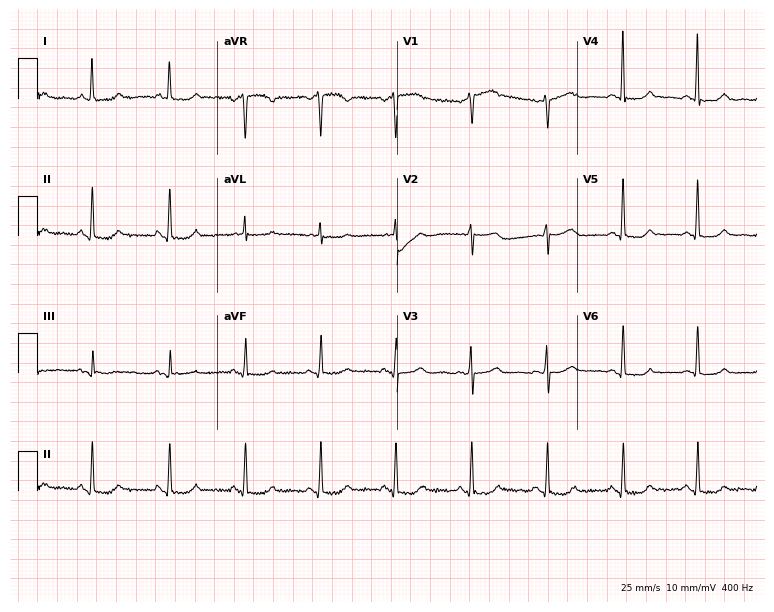
Standard 12-lead ECG recorded from a 57-year-old female patient. None of these six findings is recorded: first-degree AV block, right bundle branch block, left bundle branch block, sinus bradycardia, atrial fibrillation, sinus tachycardia. Findings outside these six are not listed.